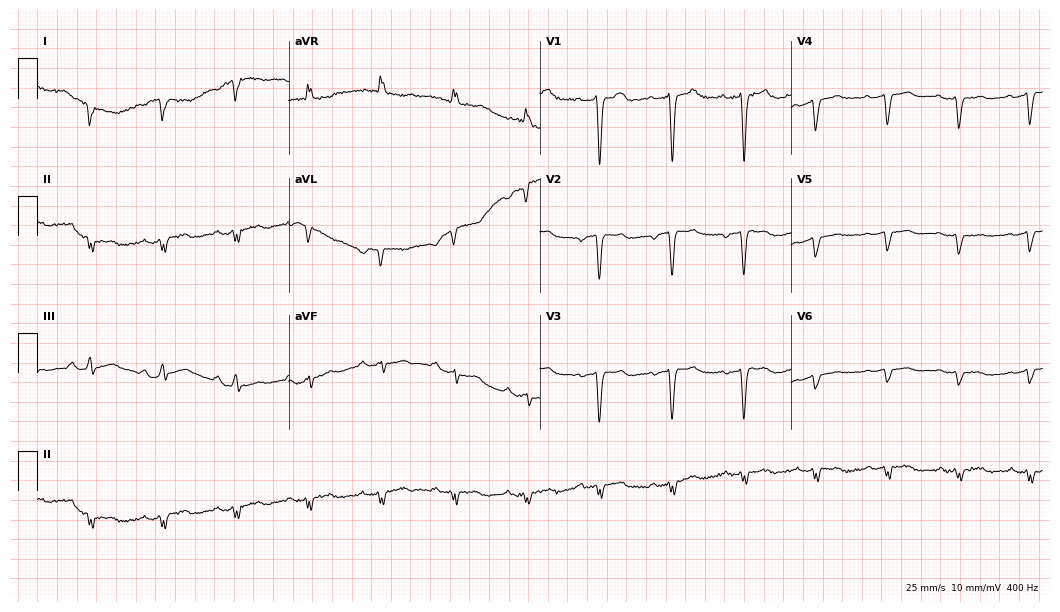
ECG (10.2-second recording at 400 Hz) — a 40-year-old man. Screened for six findings — first-degree AV block, right bundle branch block, left bundle branch block, sinus bradycardia, atrial fibrillation, sinus tachycardia — none is recorded.